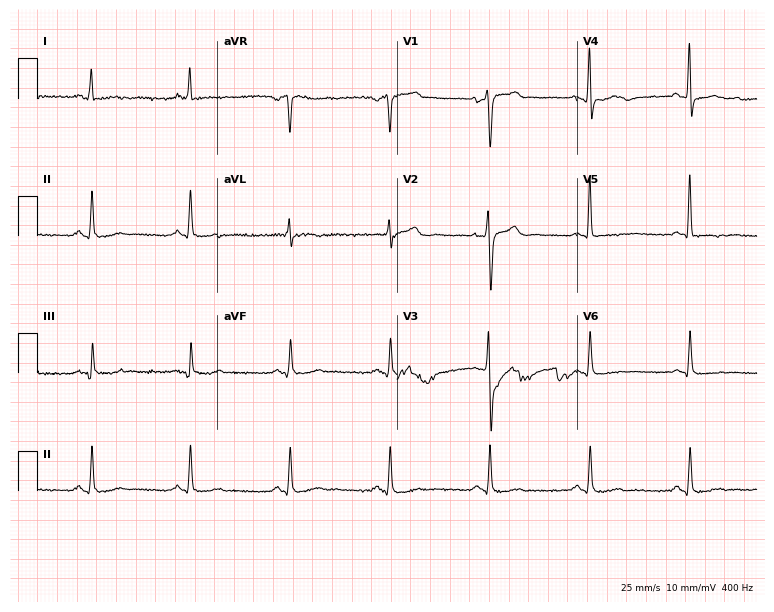
Electrocardiogram, a male patient, 54 years old. Of the six screened findings (first-degree AV block, right bundle branch block (RBBB), left bundle branch block (LBBB), sinus bradycardia, atrial fibrillation (AF), sinus tachycardia), none is recorded. Only these six findings were labelled.